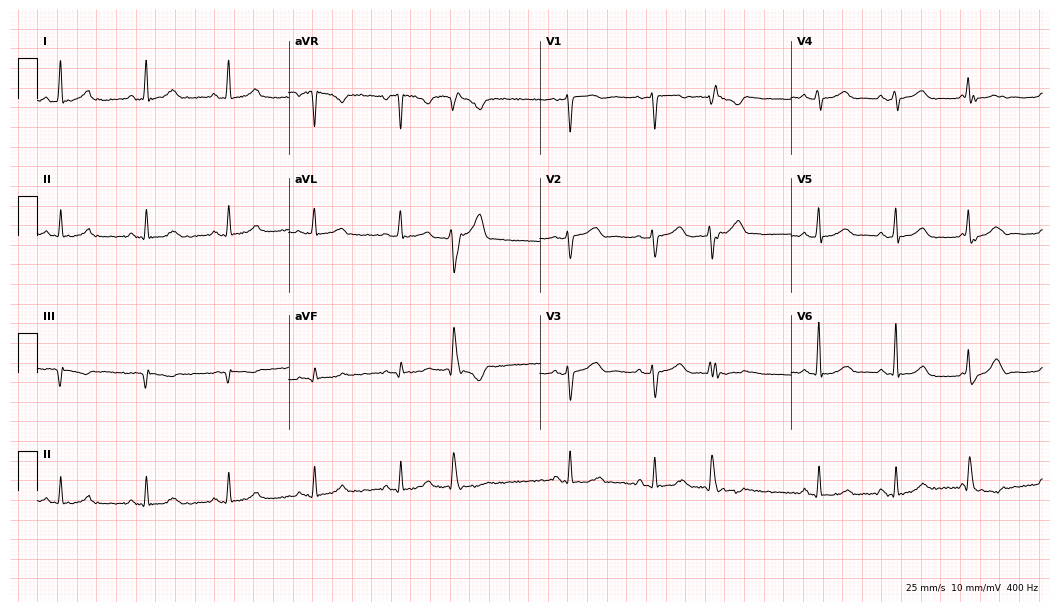
12-lead ECG from a woman, 52 years old (10.2-second recording at 400 Hz). No first-degree AV block, right bundle branch block (RBBB), left bundle branch block (LBBB), sinus bradycardia, atrial fibrillation (AF) or sinus tachycardia recorded for this tracing.